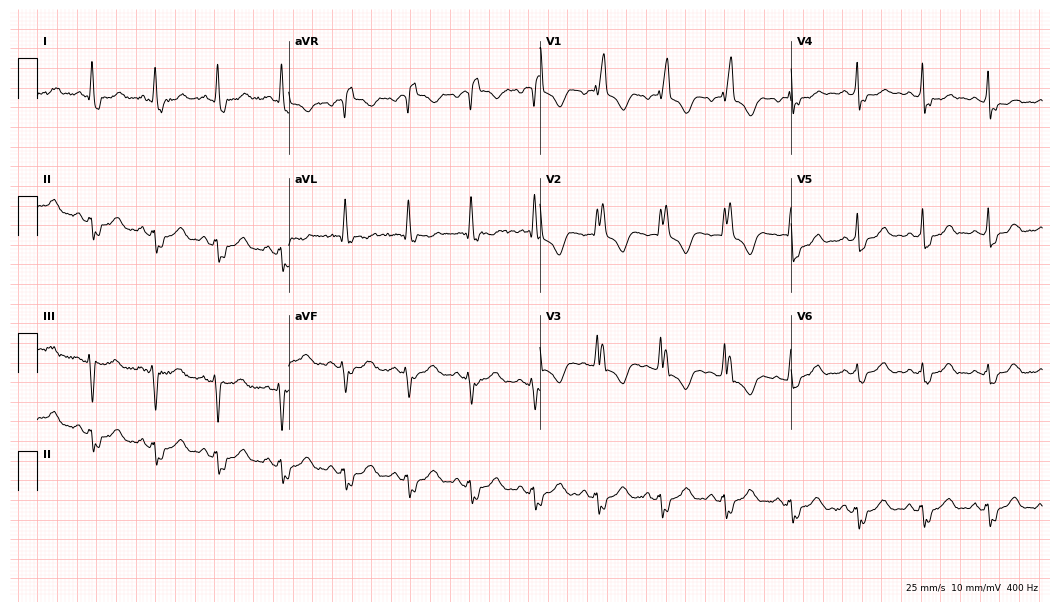
Standard 12-lead ECG recorded from a 57-year-old female. The tracing shows right bundle branch block (RBBB).